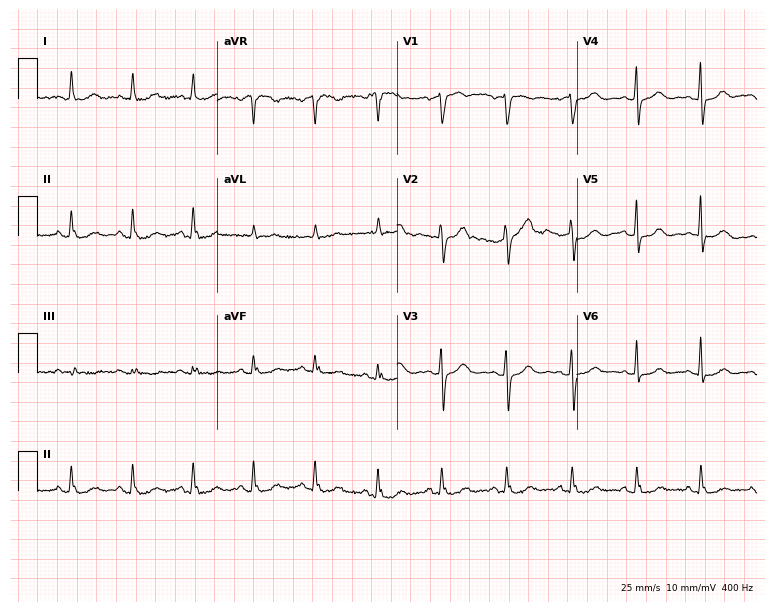
12-lead ECG from a female patient, 48 years old. Labelled as a normal ECG.